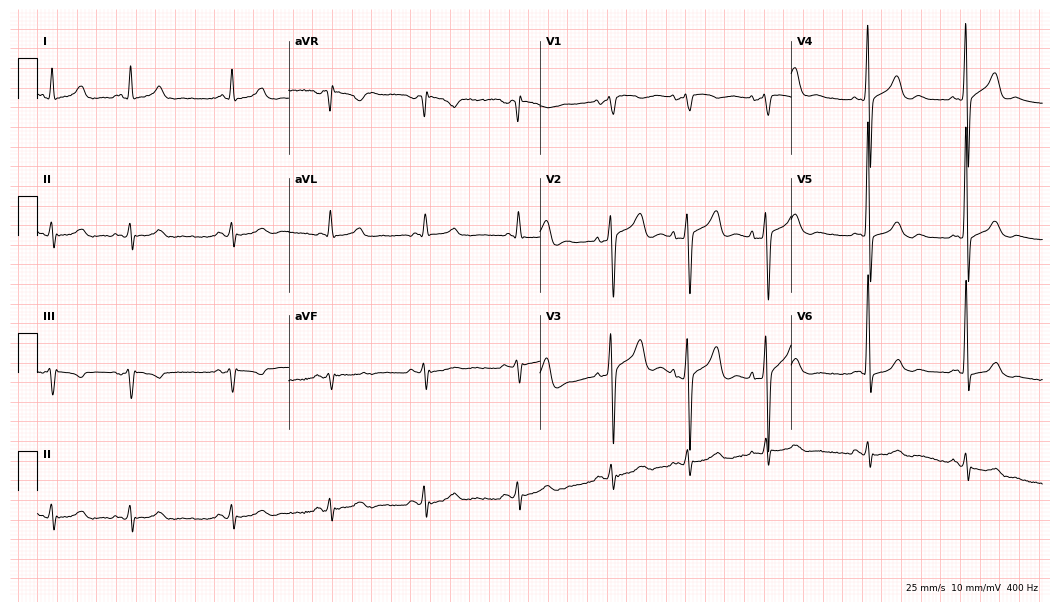
12-lead ECG from a male patient, 75 years old. Screened for six findings — first-degree AV block, right bundle branch block, left bundle branch block, sinus bradycardia, atrial fibrillation, sinus tachycardia — none is recorded. Other findings, if any, are not listed.